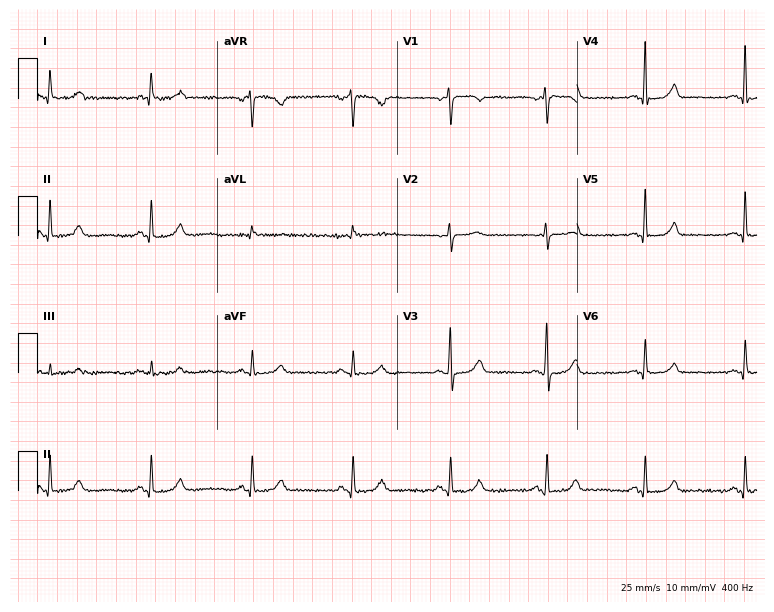
12-lead ECG from a 60-year-old woman. Recorded interpretation: within normal limits.